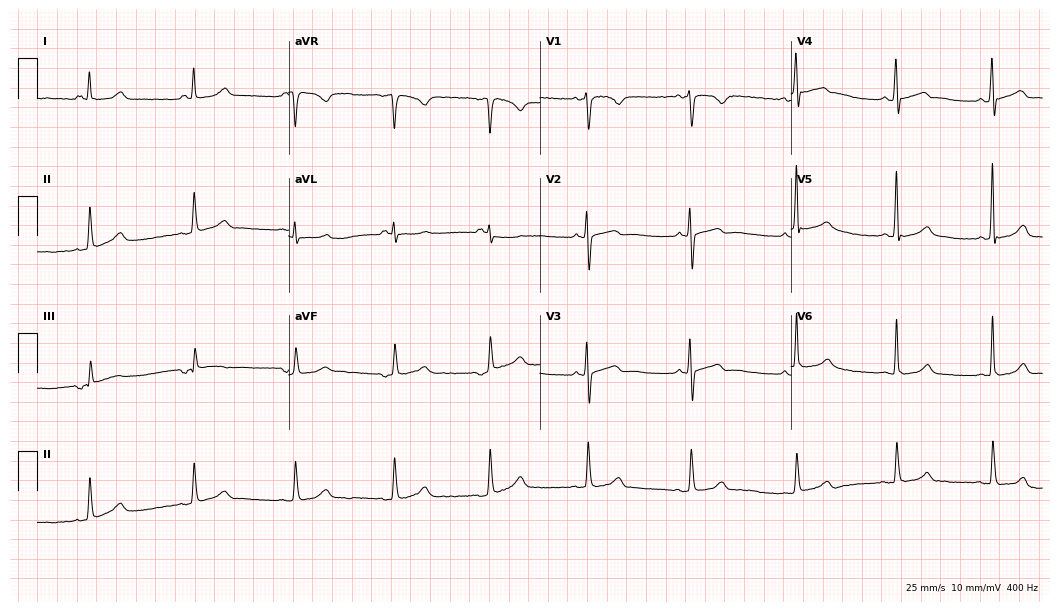
Resting 12-lead electrocardiogram (10.2-second recording at 400 Hz). Patient: a female, 43 years old. Read as a normal ECG.